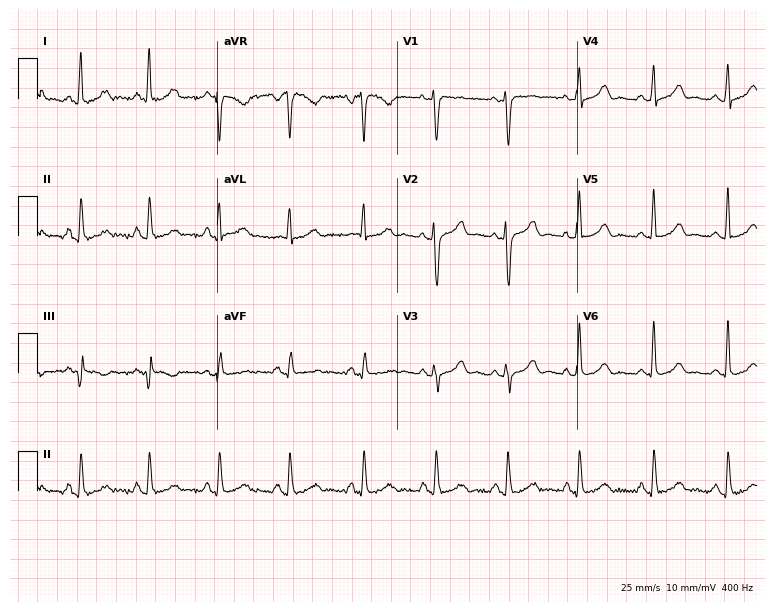
Standard 12-lead ECG recorded from a 38-year-old female patient (7.3-second recording at 400 Hz). Read as a normal ECG.